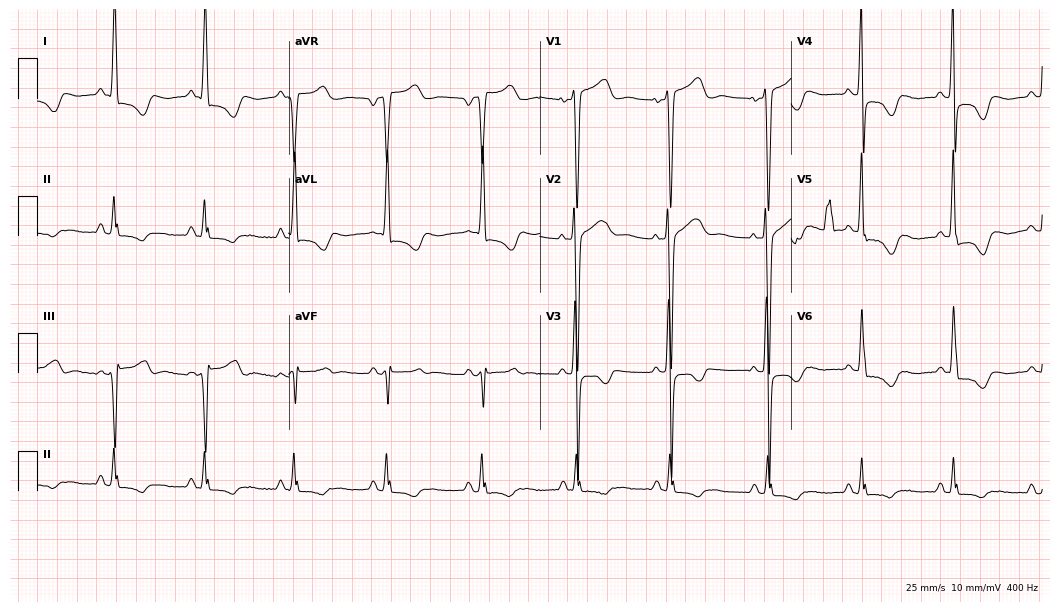
ECG — a 41-year-old man. Screened for six findings — first-degree AV block, right bundle branch block, left bundle branch block, sinus bradycardia, atrial fibrillation, sinus tachycardia — none is recorded.